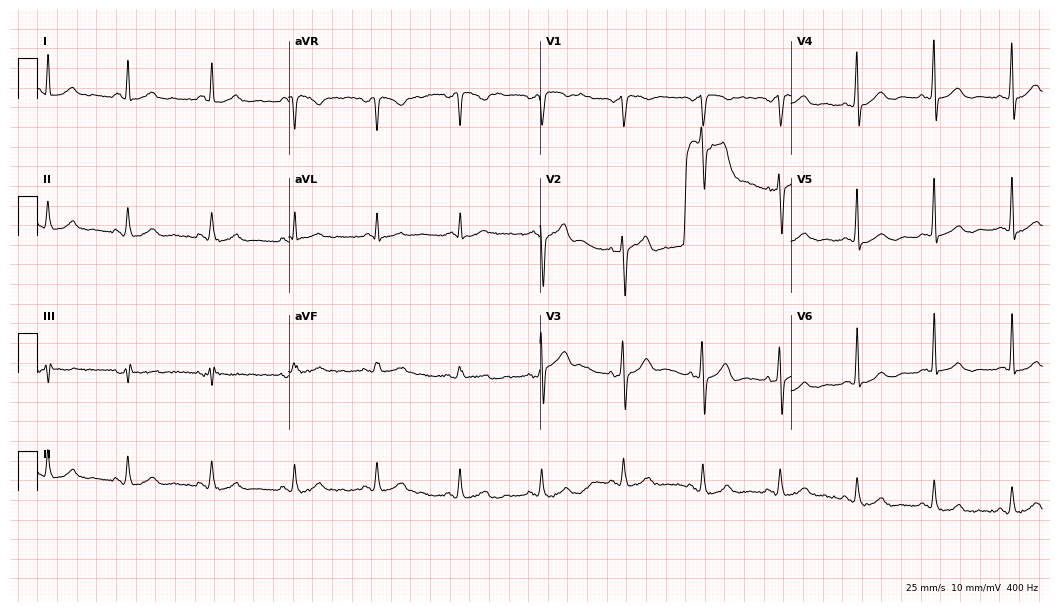
Resting 12-lead electrocardiogram. Patient: a male, 71 years old. Read as a normal ECG.